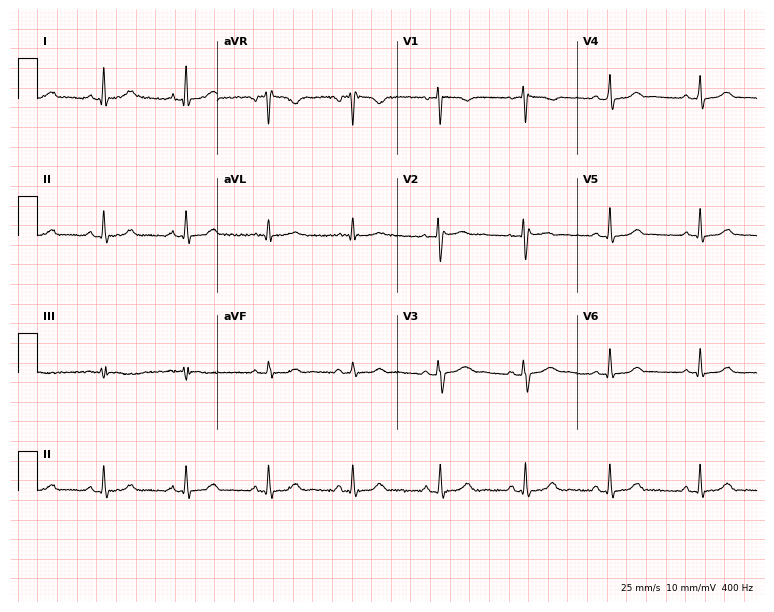
Resting 12-lead electrocardiogram (7.3-second recording at 400 Hz). Patient: a 40-year-old woman. Read as a normal ECG.